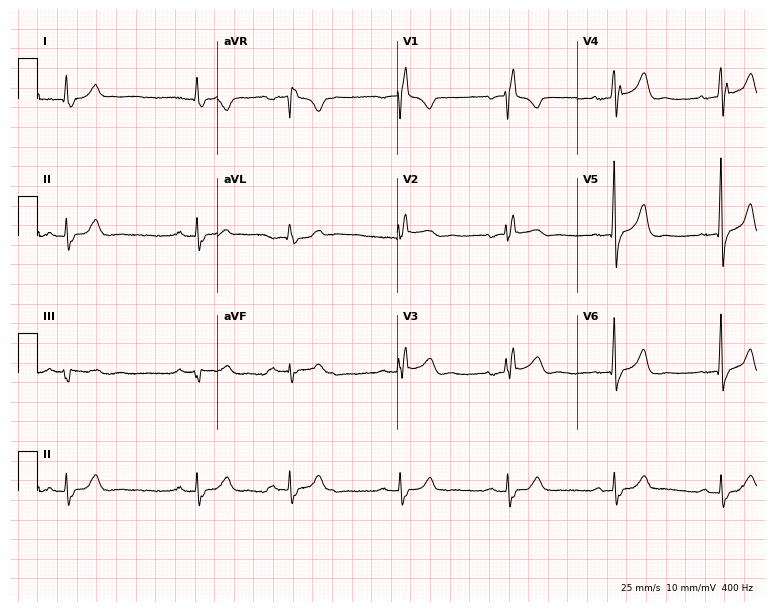
Standard 12-lead ECG recorded from a man, 66 years old (7.3-second recording at 400 Hz). None of these six findings is recorded: first-degree AV block, right bundle branch block, left bundle branch block, sinus bradycardia, atrial fibrillation, sinus tachycardia. Only these six findings were labelled.